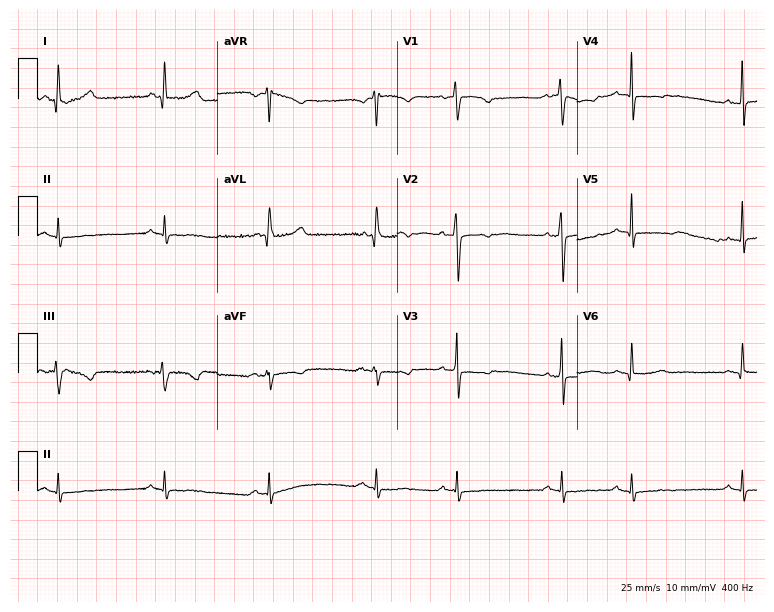
Electrocardiogram, a 45-year-old woman. Of the six screened findings (first-degree AV block, right bundle branch block (RBBB), left bundle branch block (LBBB), sinus bradycardia, atrial fibrillation (AF), sinus tachycardia), none is recorded. Only these six findings were labelled.